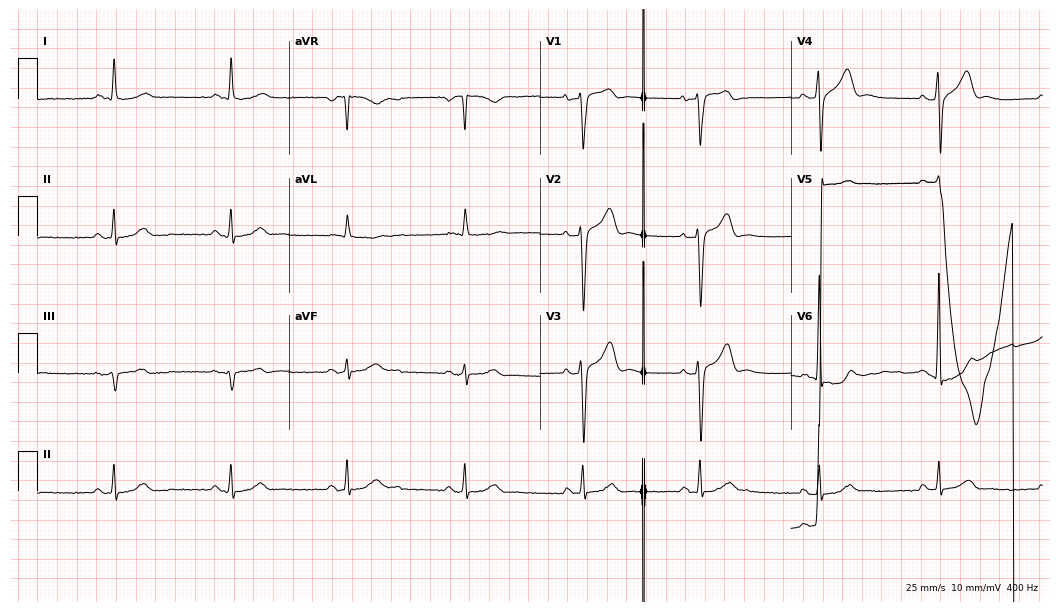
Resting 12-lead electrocardiogram. Patient: a 70-year-old man. None of these six findings is recorded: first-degree AV block, right bundle branch block, left bundle branch block, sinus bradycardia, atrial fibrillation, sinus tachycardia. Only these six findings were labelled.